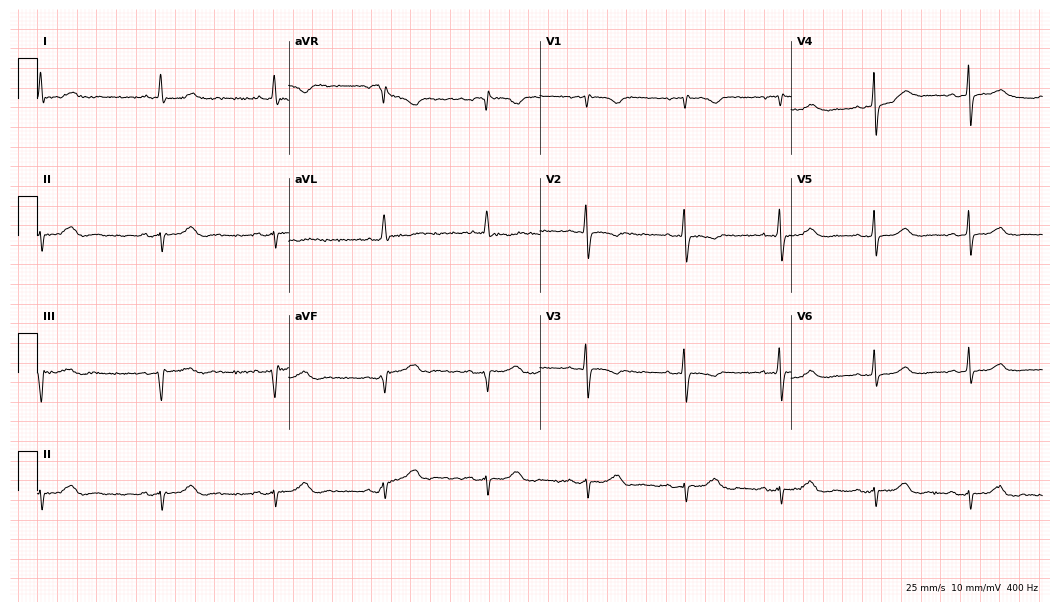
Electrocardiogram (10.2-second recording at 400 Hz), a woman, 76 years old. Of the six screened findings (first-degree AV block, right bundle branch block (RBBB), left bundle branch block (LBBB), sinus bradycardia, atrial fibrillation (AF), sinus tachycardia), none is recorded. Only these six findings were labelled.